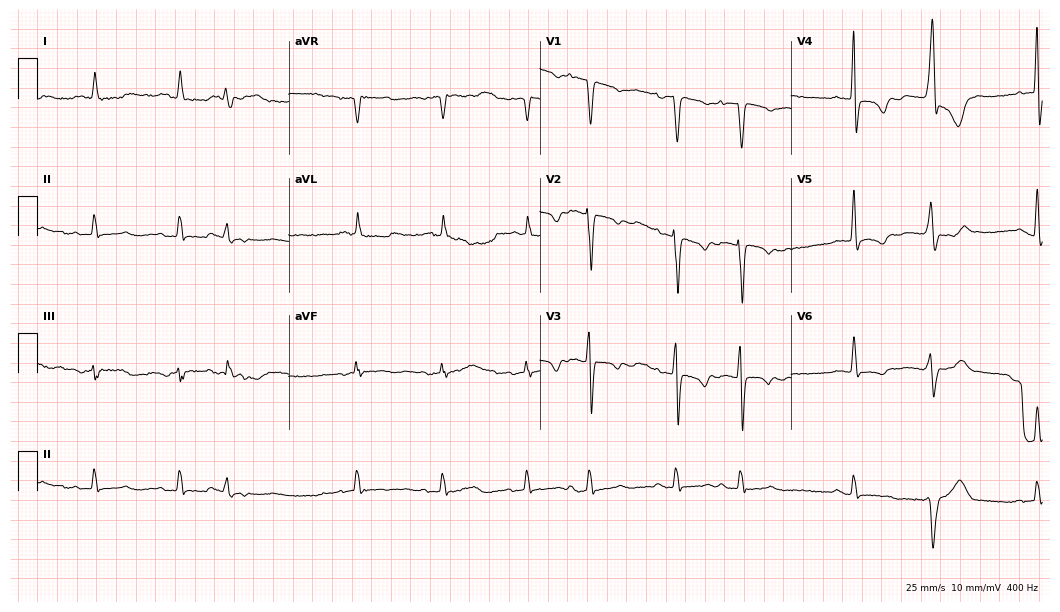
Resting 12-lead electrocardiogram (10.2-second recording at 400 Hz). Patient: a 76-year-old woman. None of these six findings is recorded: first-degree AV block, right bundle branch block, left bundle branch block, sinus bradycardia, atrial fibrillation, sinus tachycardia. Other findings, if any, are not listed.